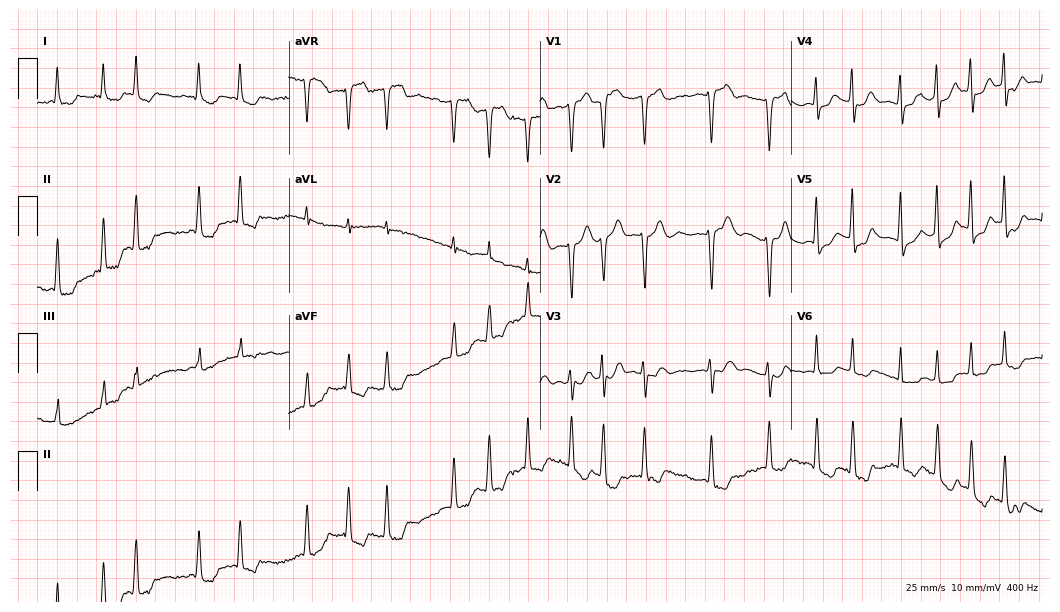
Resting 12-lead electrocardiogram. Patient: an 81-year-old woman. The tracing shows atrial fibrillation (AF).